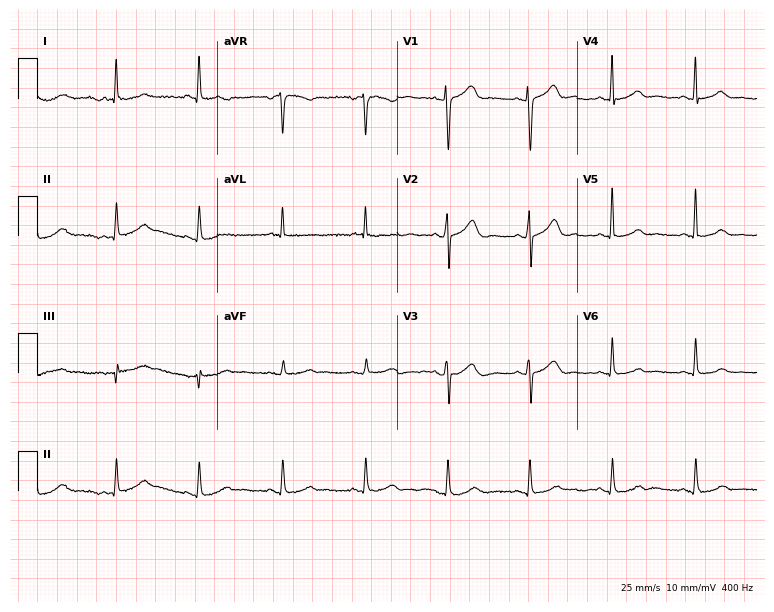
Standard 12-lead ECG recorded from a woman, 78 years old (7.3-second recording at 400 Hz). Read as a normal ECG.